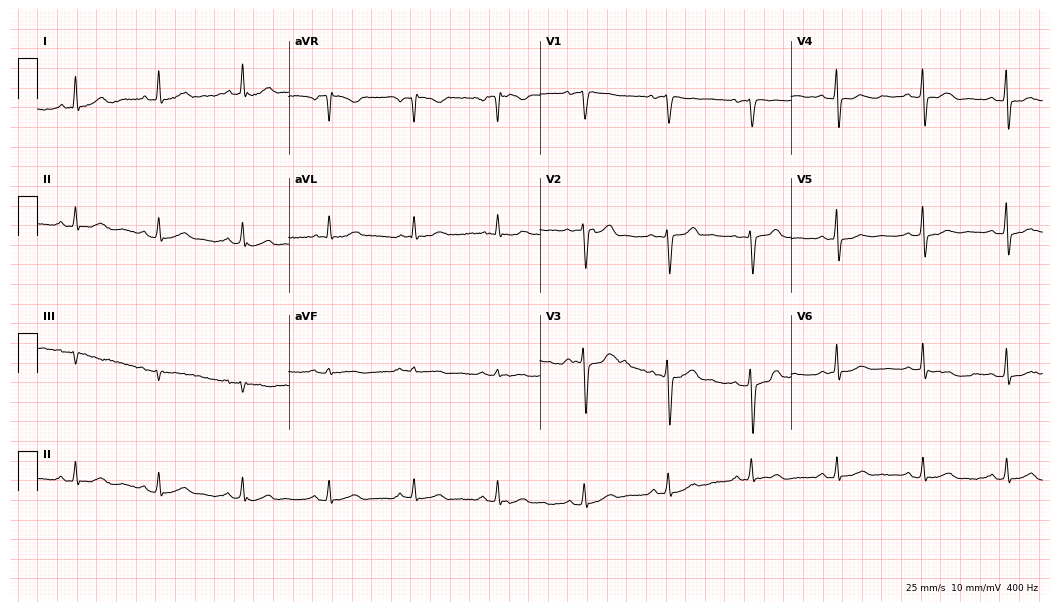
Electrocardiogram, a woman, 51 years old. Overall reading on record: normal ECG.